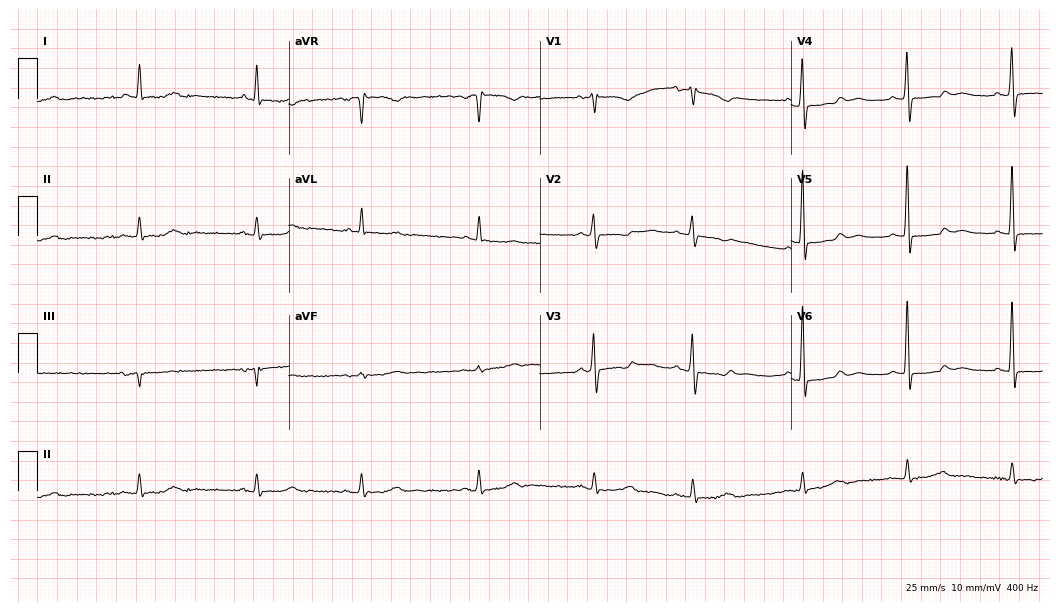
12-lead ECG from an 82-year-old female (10.2-second recording at 400 Hz). No first-degree AV block, right bundle branch block (RBBB), left bundle branch block (LBBB), sinus bradycardia, atrial fibrillation (AF) or sinus tachycardia recorded for this tracing.